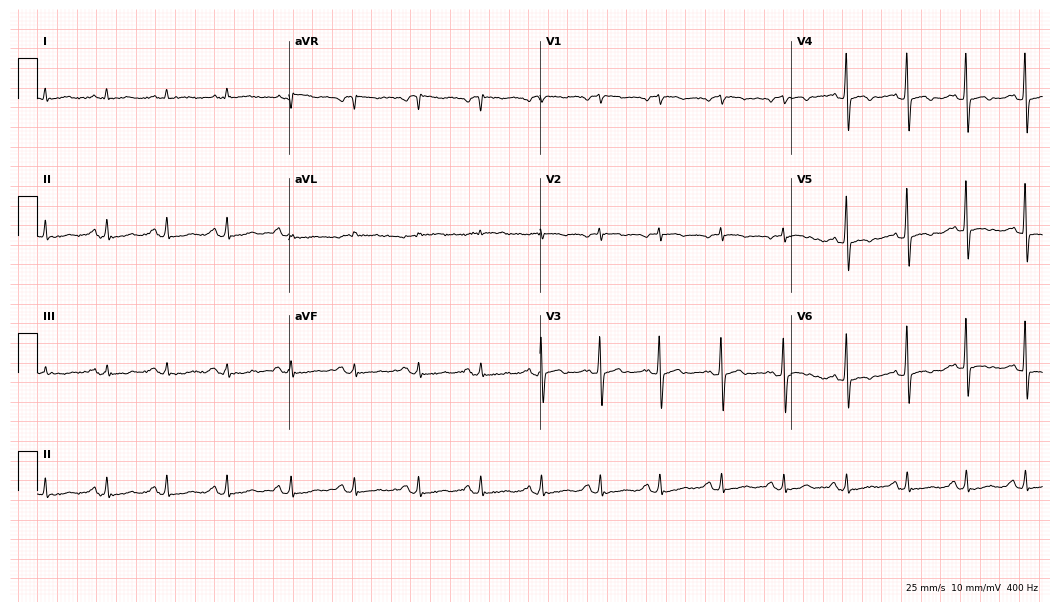
12-lead ECG from a female patient, 56 years old (10.2-second recording at 400 Hz). No first-degree AV block, right bundle branch block (RBBB), left bundle branch block (LBBB), sinus bradycardia, atrial fibrillation (AF) or sinus tachycardia recorded for this tracing.